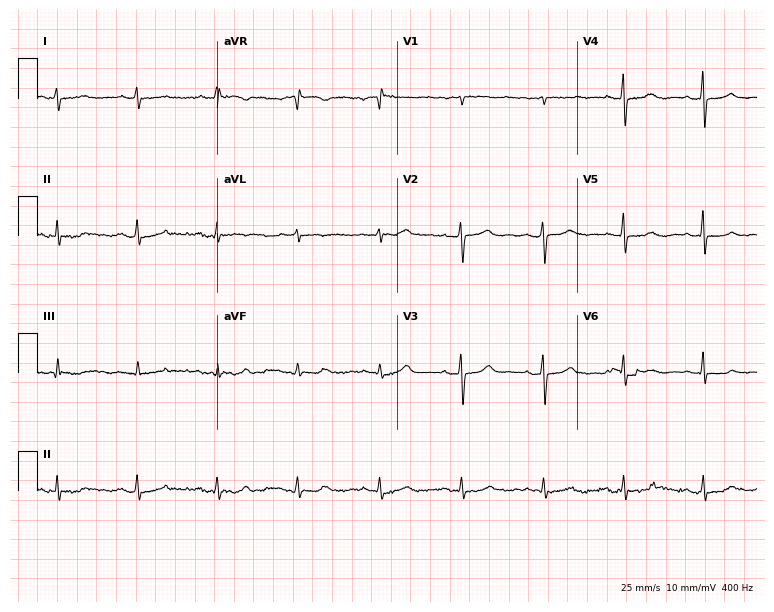
12-lead ECG from a woman, 57 years old. Labelled as a normal ECG.